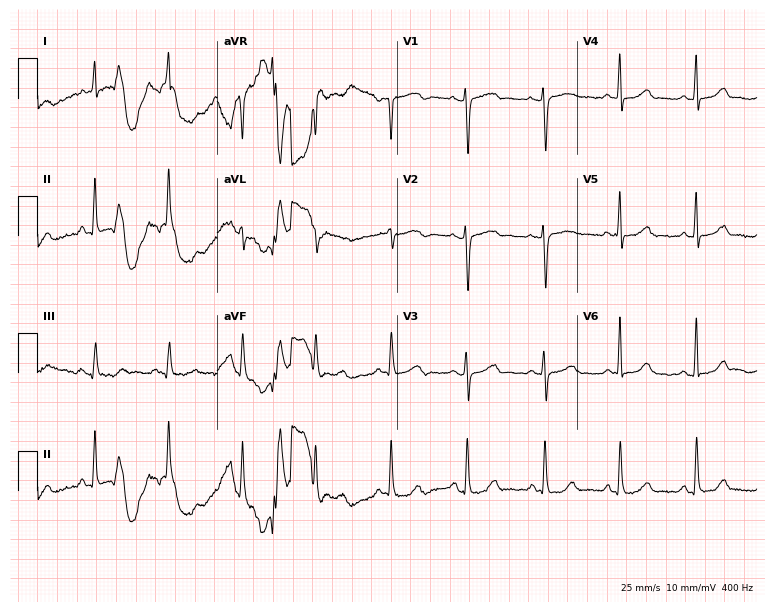
ECG (7.3-second recording at 400 Hz) — a female, 42 years old. Labelled as a normal ECG.